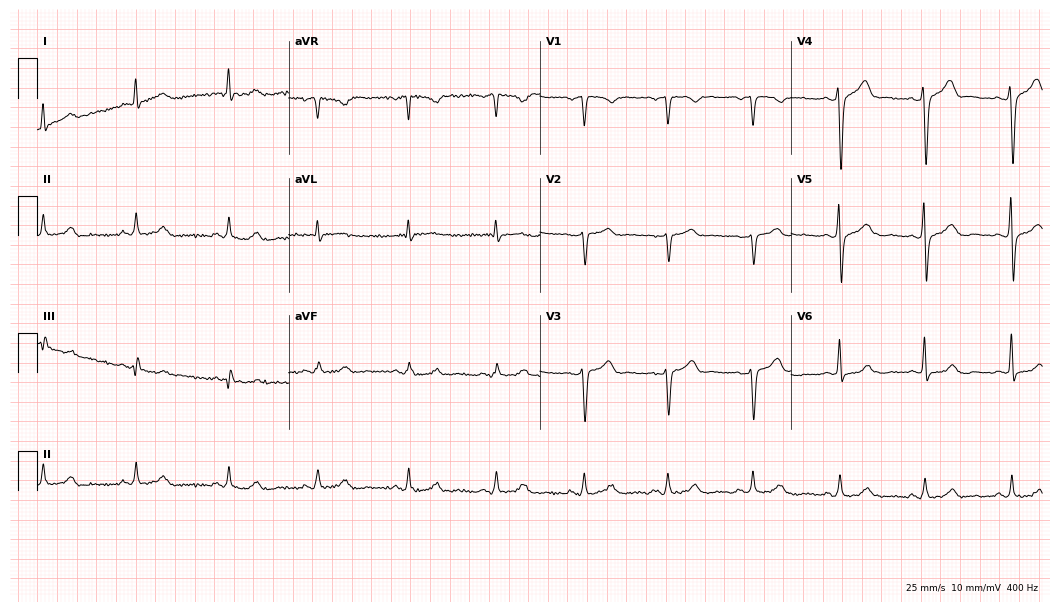
Standard 12-lead ECG recorded from a male patient, 40 years old. Read as a normal ECG.